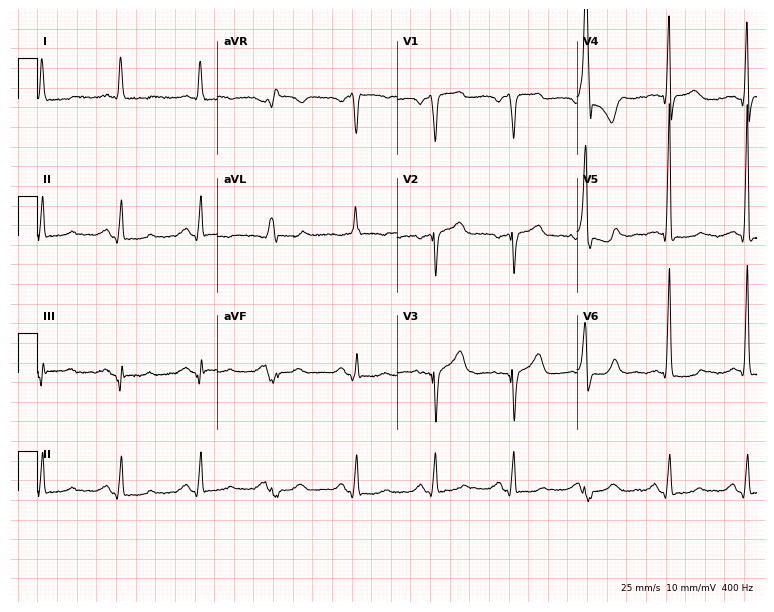
12-lead ECG from a male, 62 years old. Screened for six findings — first-degree AV block, right bundle branch block, left bundle branch block, sinus bradycardia, atrial fibrillation, sinus tachycardia — none is recorded. Only these six findings were labelled.